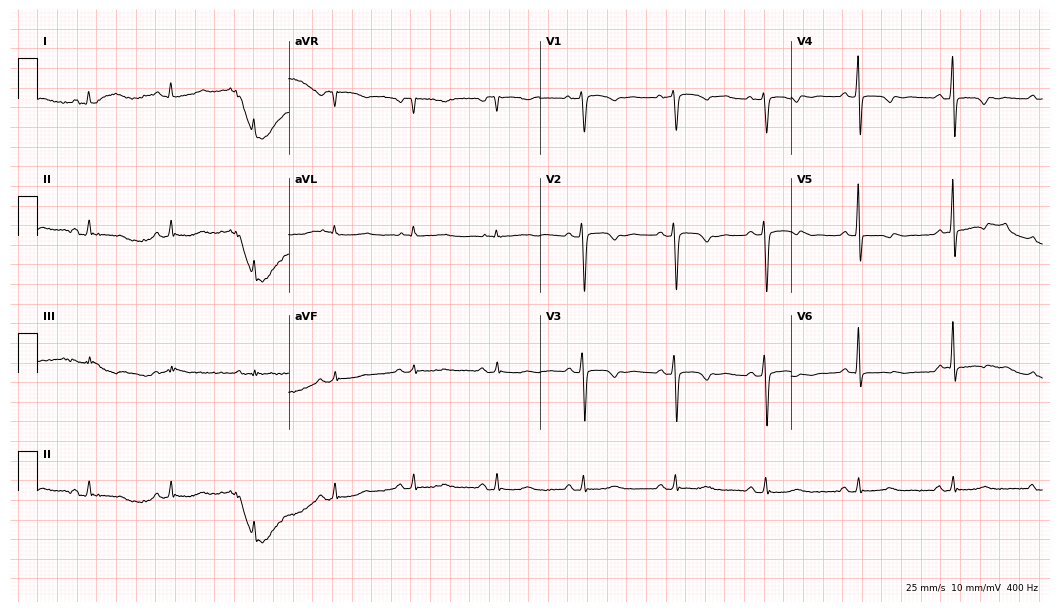
Standard 12-lead ECG recorded from a 76-year-old female. None of these six findings is recorded: first-degree AV block, right bundle branch block, left bundle branch block, sinus bradycardia, atrial fibrillation, sinus tachycardia.